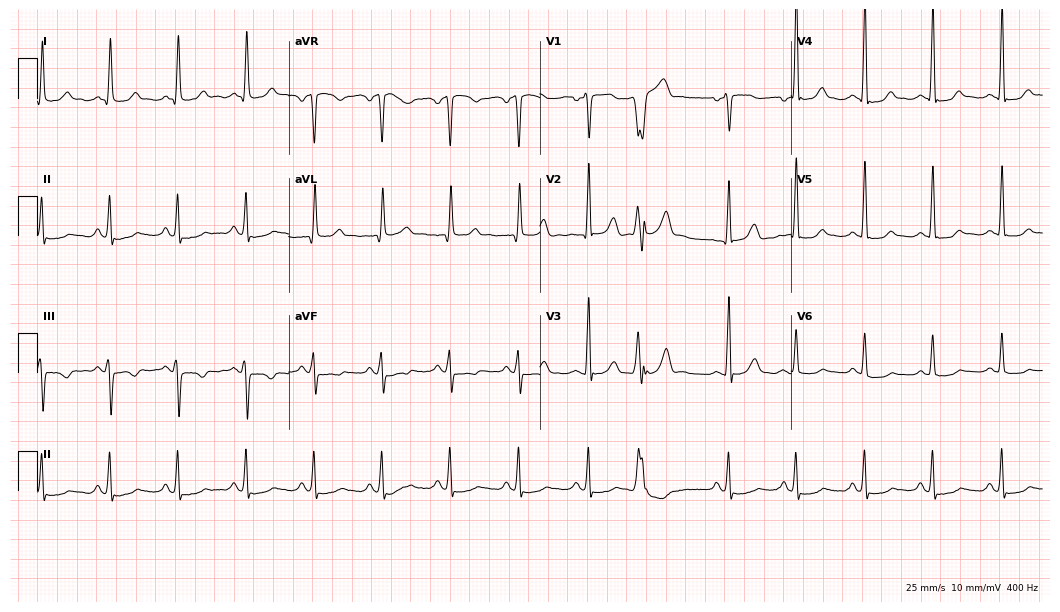
12-lead ECG from a female patient, 73 years old. No first-degree AV block, right bundle branch block, left bundle branch block, sinus bradycardia, atrial fibrillation or sinus tachycardia recorded for this tracing.